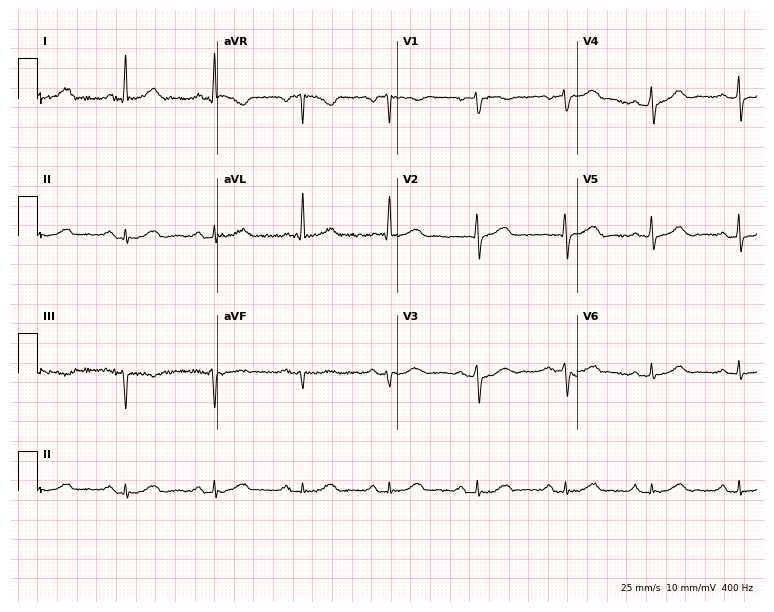
Electrocardiogram (7.3-second recording at 400 Hz), a female patient, 70 years old. Overall reading on record: normal ECG.